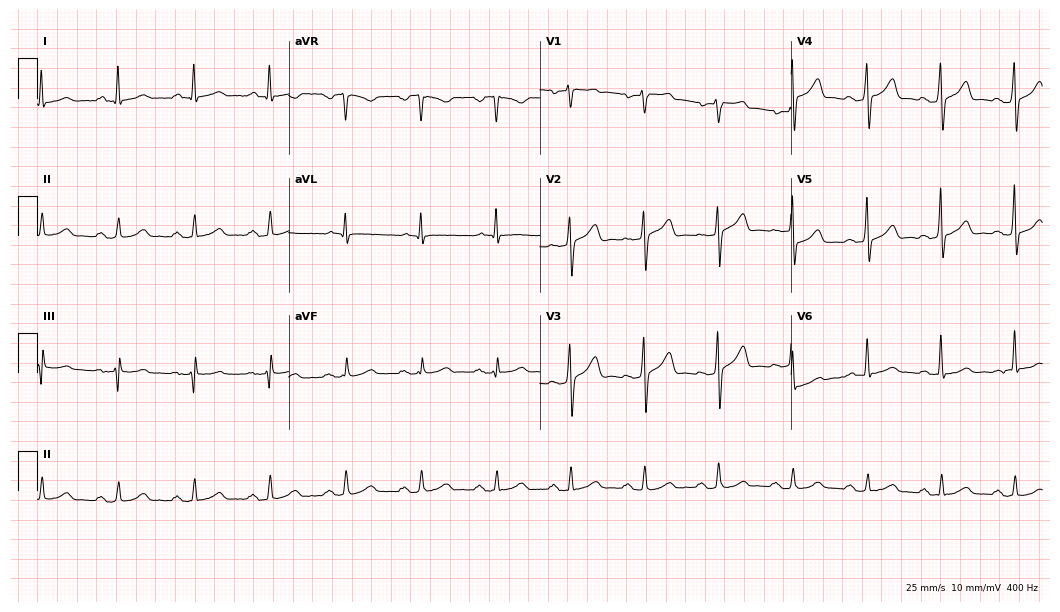
Standard 12-lead ECG recorded from a man, 63 years old (10.2-second recording at 400 Hz). Read as a normal ECG.